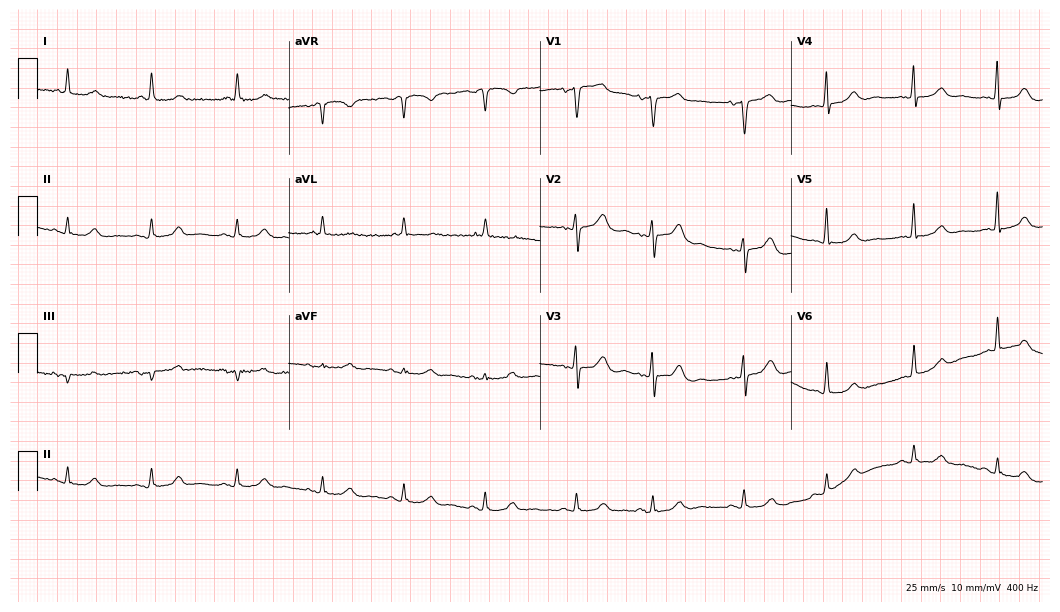
Standard 12-lead ECG recorded from a female, 79 years old (10.2-second recording at 400 Hz). None of these six findings is recorded: first-degree AV block, right bundle branch block (RBBB), left bundle branch block (LBBB), sinus bradycardia, atrial fibrillation (AF), sinus tachycardia.